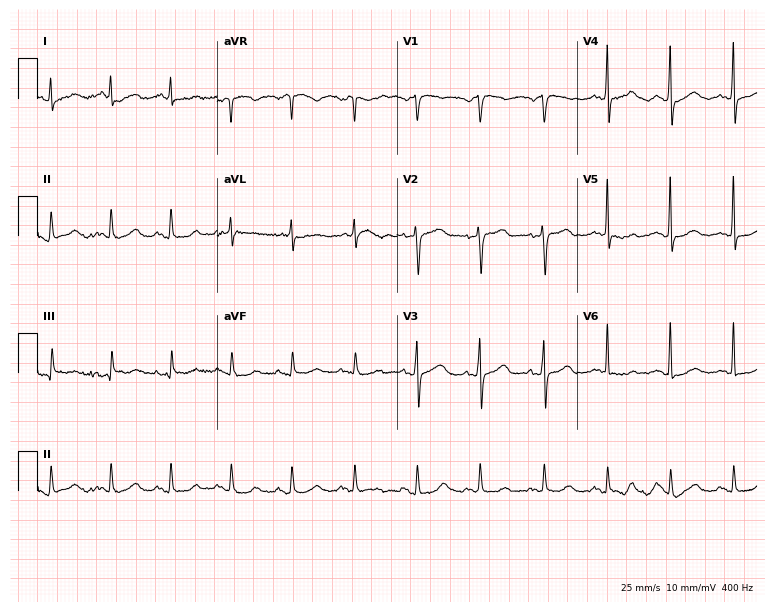
ECG (7.3-second recording at 400 Hz) — a 75-year-old female. Labelled as a normal ECG.